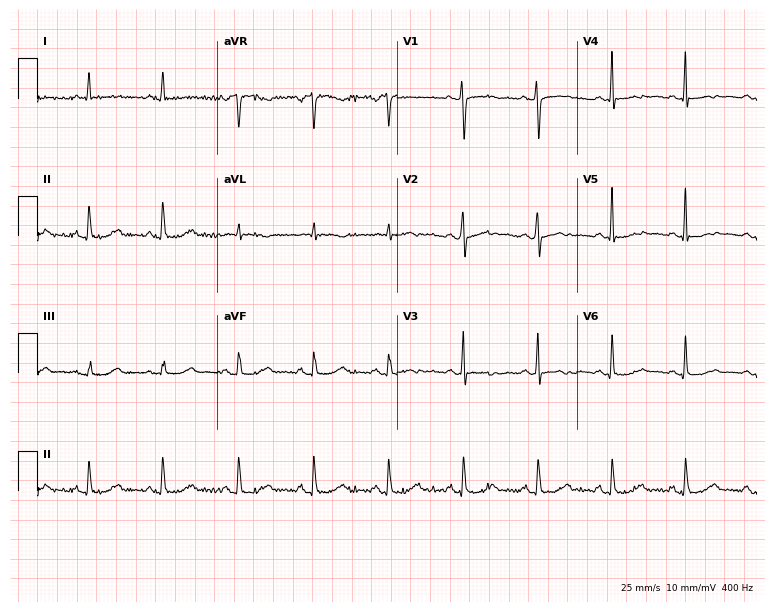
ECG (7.3-second recording at 400 Hz) — a 67-year-old female. Screened for six findings — first-degree AV block, right bundle branch block, left bundle branch block, sinus bradycardia, atrial fibrillation, sinus tachycardia — none is recorded. Findings outside these six are not listed.